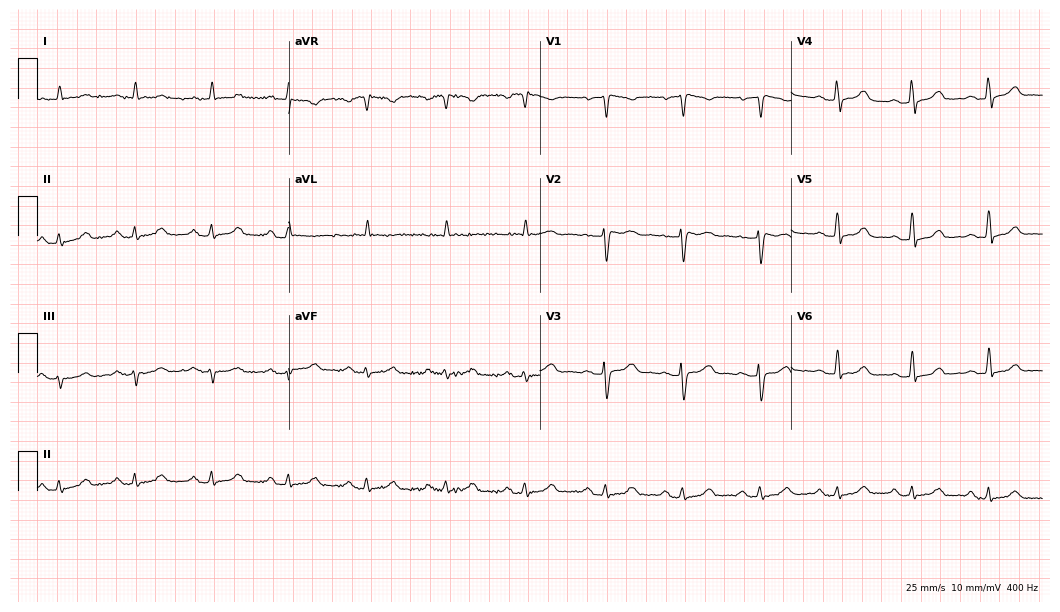
Resting 12-lead electrocardiogram (10.2-second recording at 400 Hz). Patient: a female, 54 years old. None of these six findings is recorded: first-degree AV block, right bundle branch block, left bundle branch block, sinus bradycardia, atrial fibrillation, sinus tachycardia.